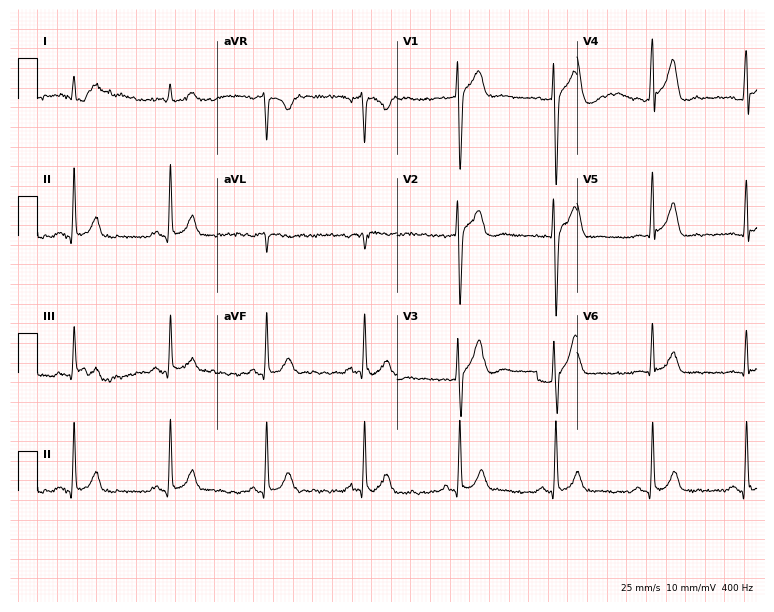
12-lead ECG from a 39-year-old female (7.3-second recording at 400 Hz). No first-degree AV block, right bundle branch block, left bundle branch block, sinus bradycardia, atrial fibrillation or sinus tachycardia recorded for this tracing.